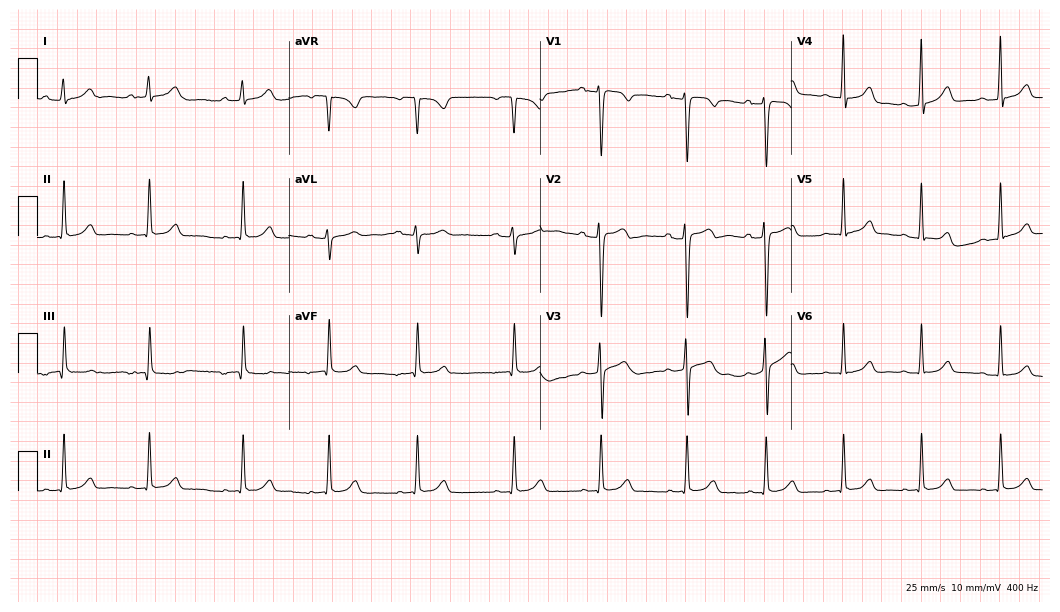
ECG — a 20-year-old female. Labelled as a normal ECG.